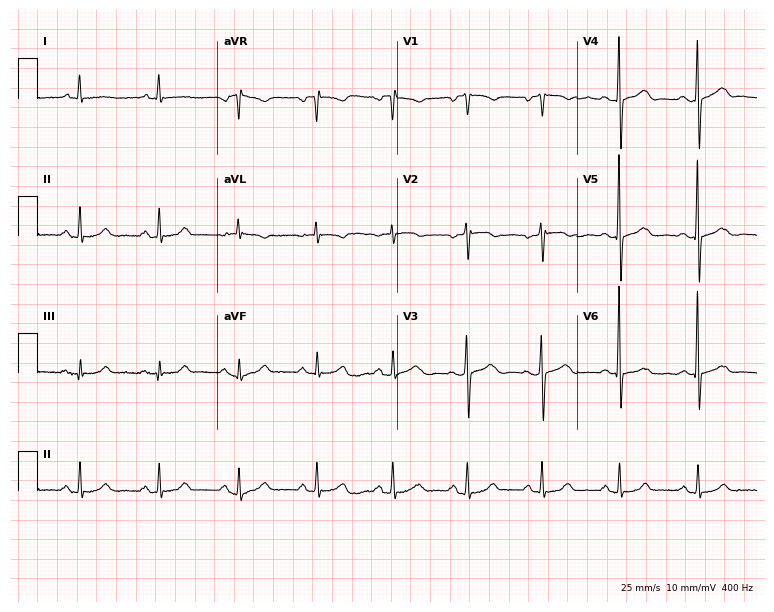
Electrocardiogram (7.3-second recording at 400 Hz), a female, 74 years old. Of the six screened findings (first-degree AV block, right bundle branch block, left bundle branch block, sinus bradycardia, atrial fibrillation, sinus tachycardia), none is recorded. Findings outside these six are not listed.